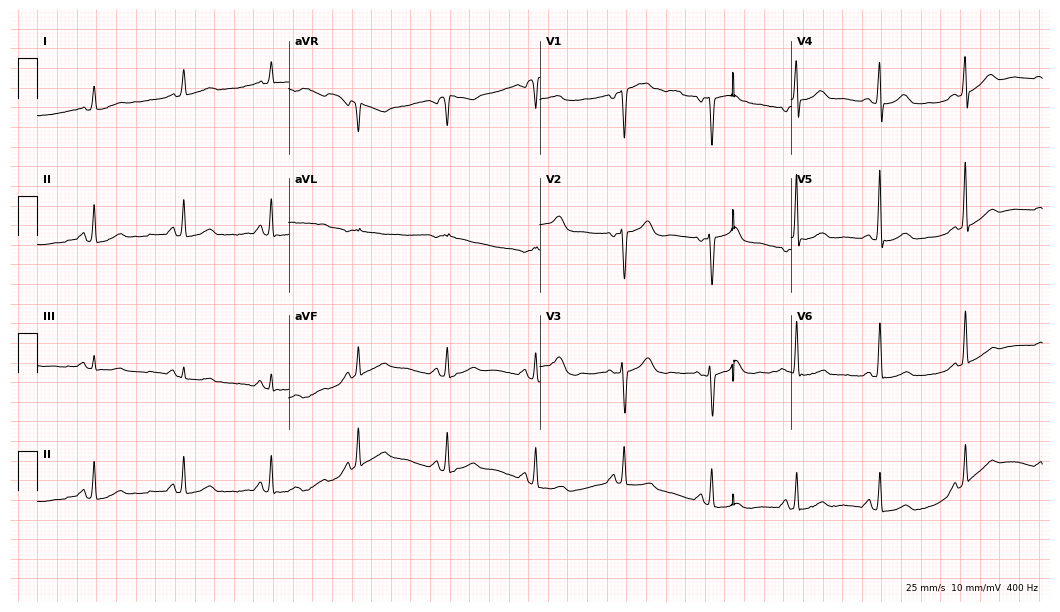
12-lead ECG from a female, 50 years old. No first-degree AV block, right bundle branch block (RBBB), left bundle branch block (LBBB), sinus bradycardia, atrial fibrillation (AF) or sinus tachycardia recorded for this tracing. Only these six findings were labelled.